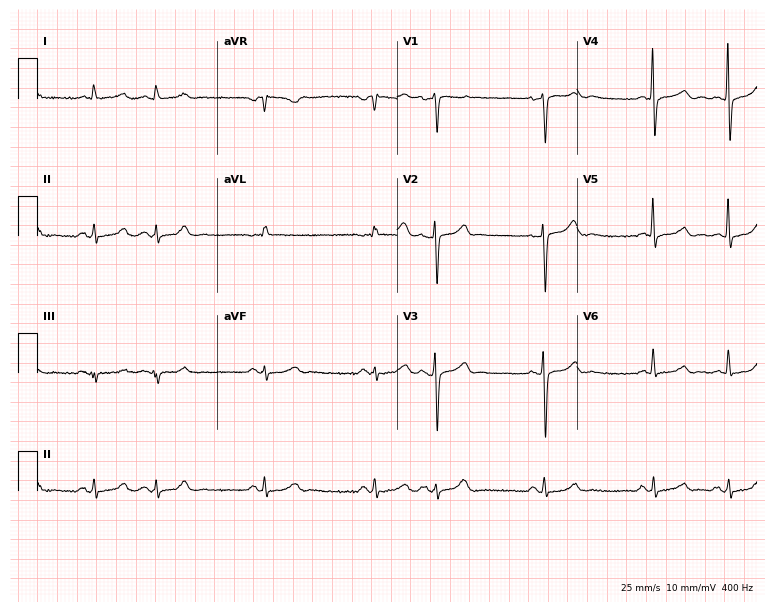
Standard 12-lead ECG recorded from a male patient, 69 years old (7.3-second recording at 400 Hz). None of these six findings is recorded: first-degree AV block, right bundle branch block, left bundle branch block, sinus bradycardia, atrial fibrillation, sinus tachycardia. Only these six findings were labelled.